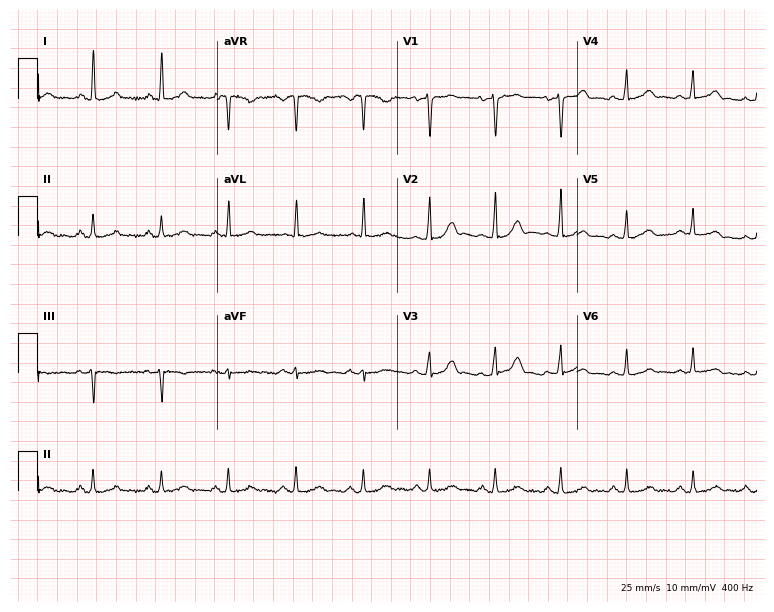
12-lead ECG (7.3-second recording at 400 Hz) from a female, 41 years old. Labelled as a normal ECG.